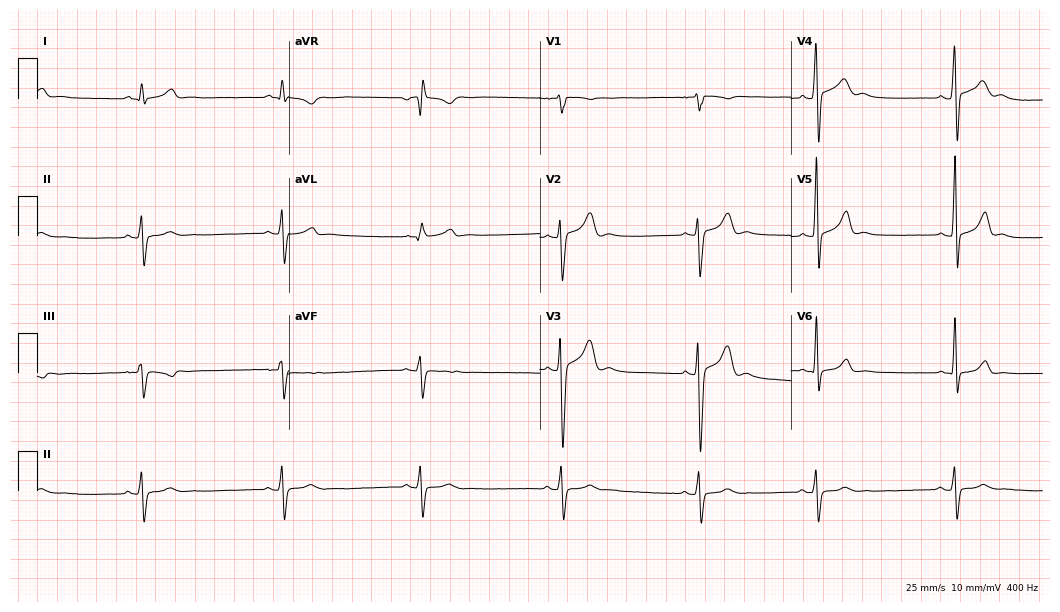
ECG — a male, 18 years old. Findings include sinus bradycardia (a sinus rate of 50 beats per minute or less).